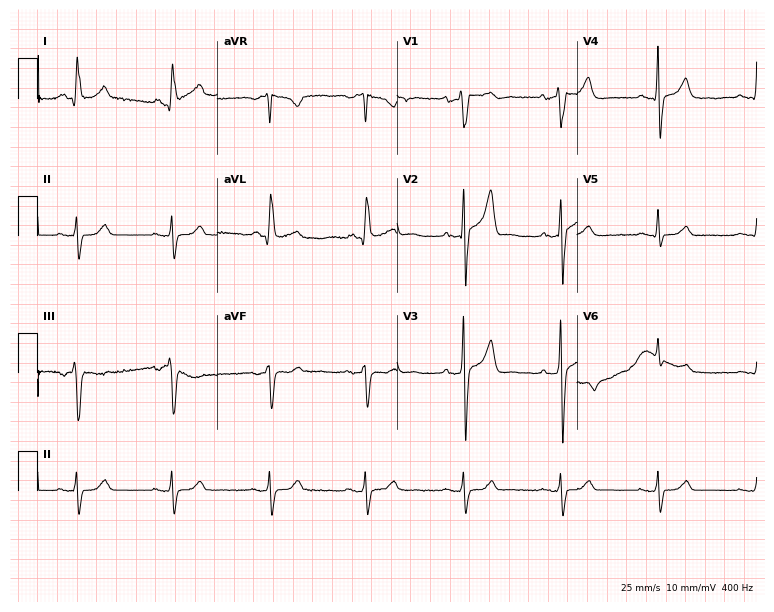
Resting 12-lead electrocardiogram. Patient: a male, 78 years old. None of these six findings is recorded: first-degree AV block, right bundle branch block, left bundle branch block, sinus bradycardia, atrial fibrillation, sinus tachycardia. Only these six findings were labelled.